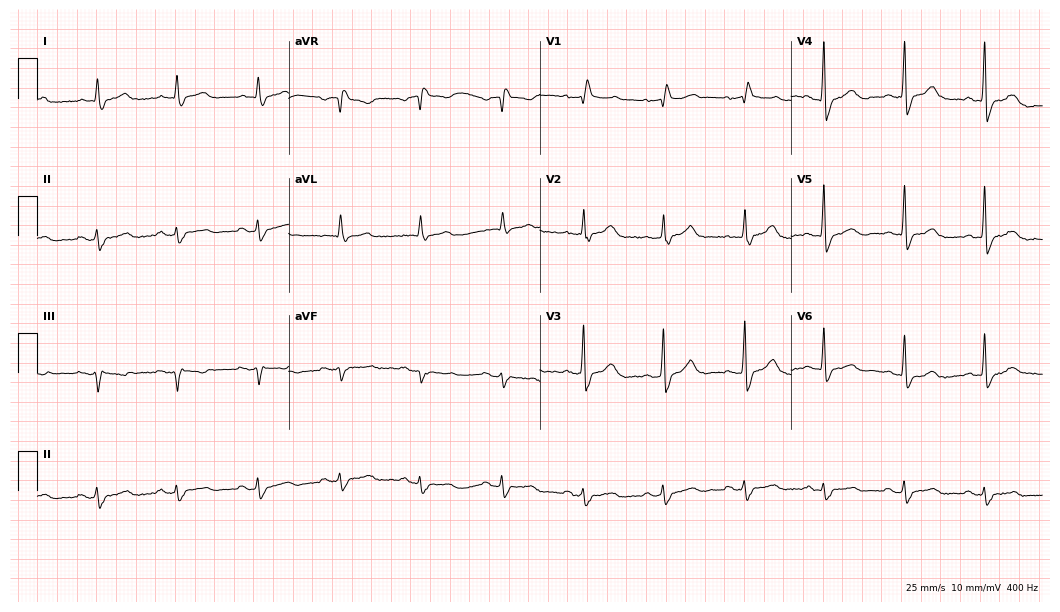
Electrocardiogram, an 80-year-old male. Of the six screened findings (first-degree AV block, right bundle branch block (RBBB), left bundle branch block (LBBB), sinus bradycardia, atrial fibrillation (AF), sinus tachycardia), none is recorded.